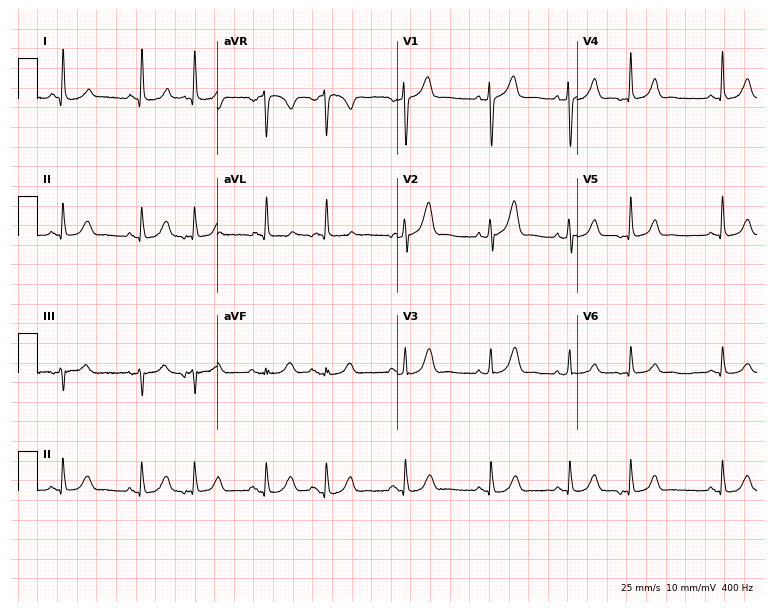
Resting 12-lead electrocardiogram. Patient: a woman, 77 years old. Read as a normal ECG.